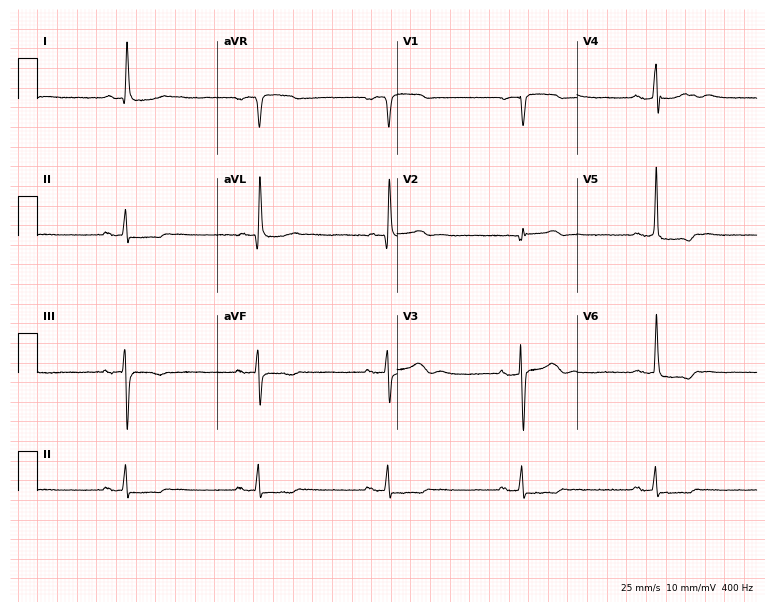
ECG (7.3-second recording at 400 Hz) — an 81-year-old male. Screened for six findings — first-degree AV block, right bundle branch block (RBBB), left bundle branch block (LBBB), sinus bradycardia, atrial fibrillation (AF), sinus tachycardia — none is recorded. Findings outside these six are not listed.